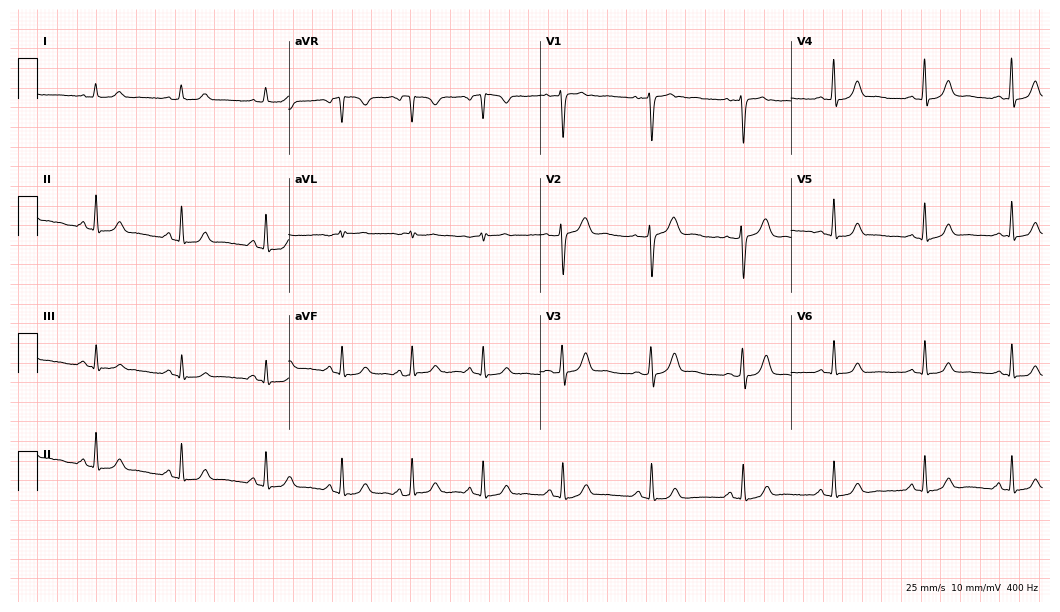
12-lead ECG from a 29-year-old female (10.2-second recording at 400 Hz). Recorded interpretation: within normal limits.